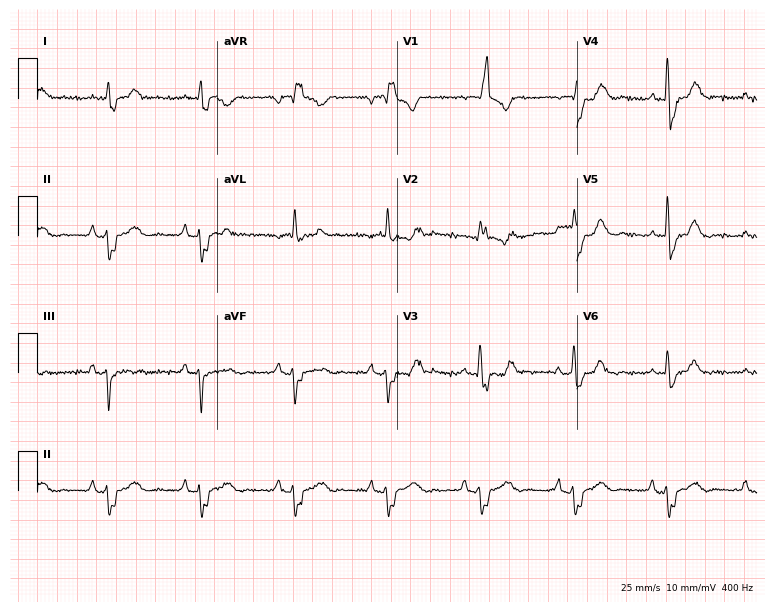
12-lead ECG from a male patient, 69 years old. No first-degree AV block, right bundle branch block (RBBB), left bundle branch block (LBBB), sinus bradycardia, atrial fibrillation (AF) or sinus tachycardia recorded for this tracing.